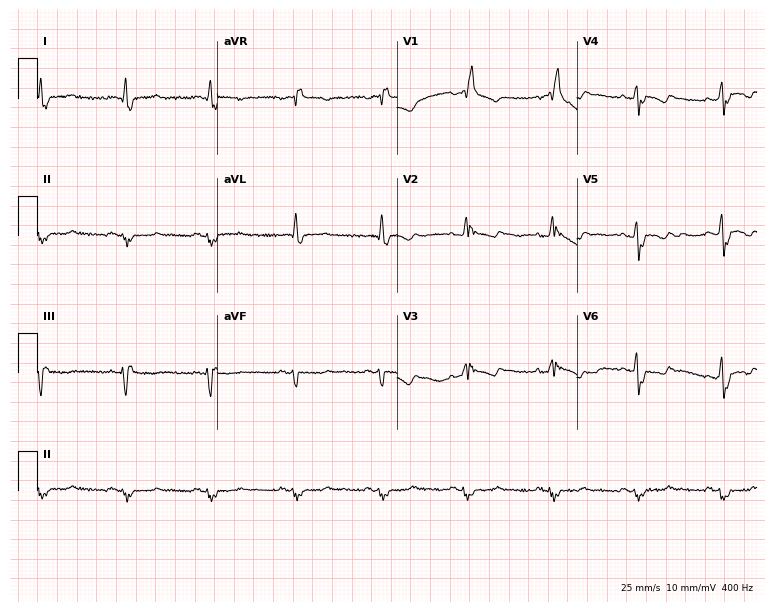
Standard 12-lead ECG recorded from a 56-year-old male (7.3-second recording at 400 Hz). None of these six findings is recorded: first-degree AV block, right bundle branch block, left bundle branch block, sinus bradycardia, atrial fibrillation, sinus tachycardia.